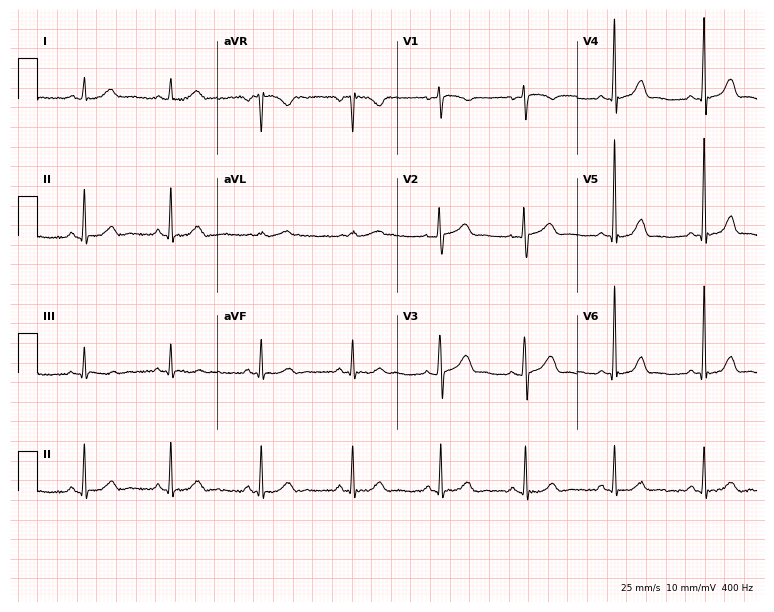
Resting 12-lead electrocardiogram (7.3-second recording at 400 Hz). Patient: a 51-year-old female. Read as a normal ECG.